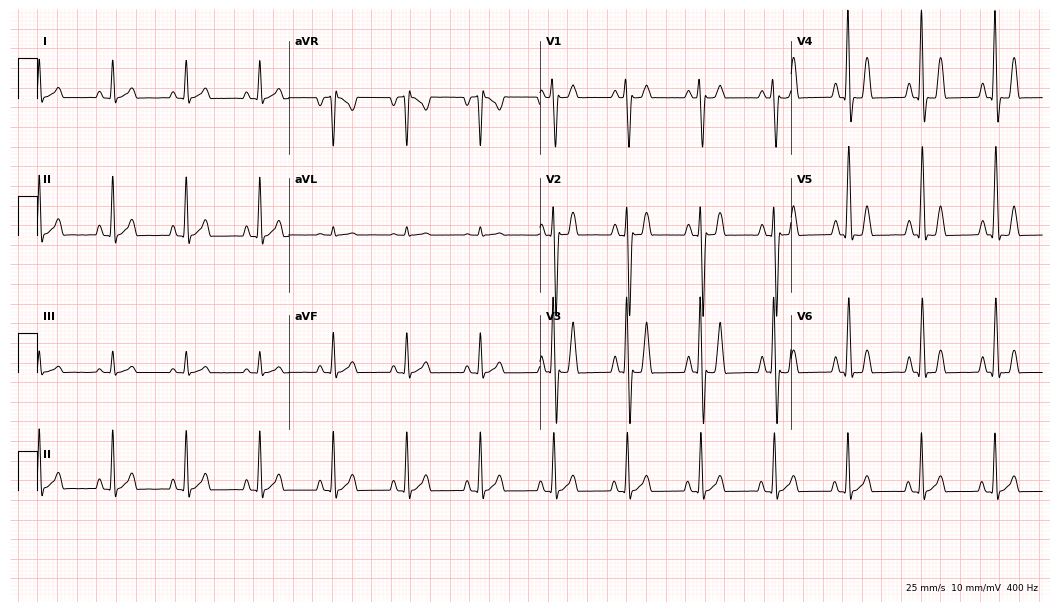
Electrocardiogram, a 51-year-old woman. Of the six screened findings (first-degree AV block, right bundle branch block (RBBB), left bundle branch block (LBBB), sinus bradycardia, atrial fibrillation (AF), sinus tachycardia), none is recorded. Other findings, if any, are not listed.